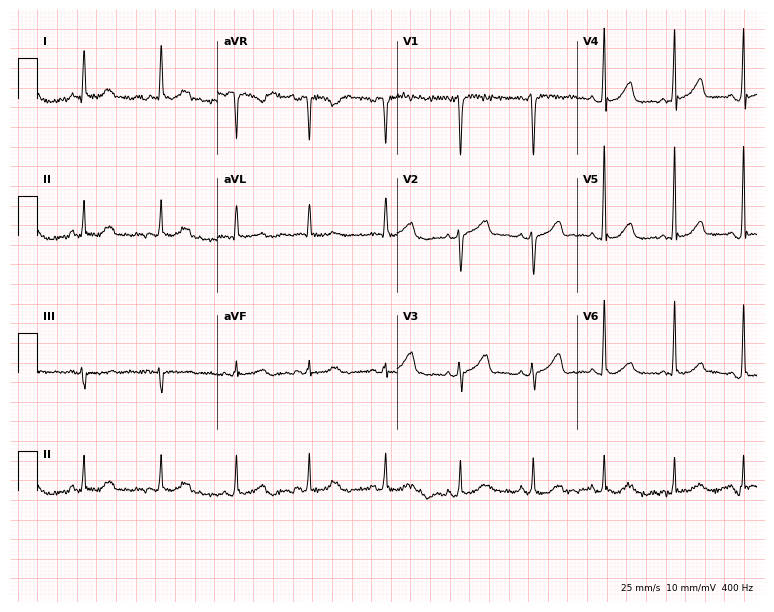
Standard 12-lead ECG recorded from a woman, 72 years old. Read as a normal ECG.